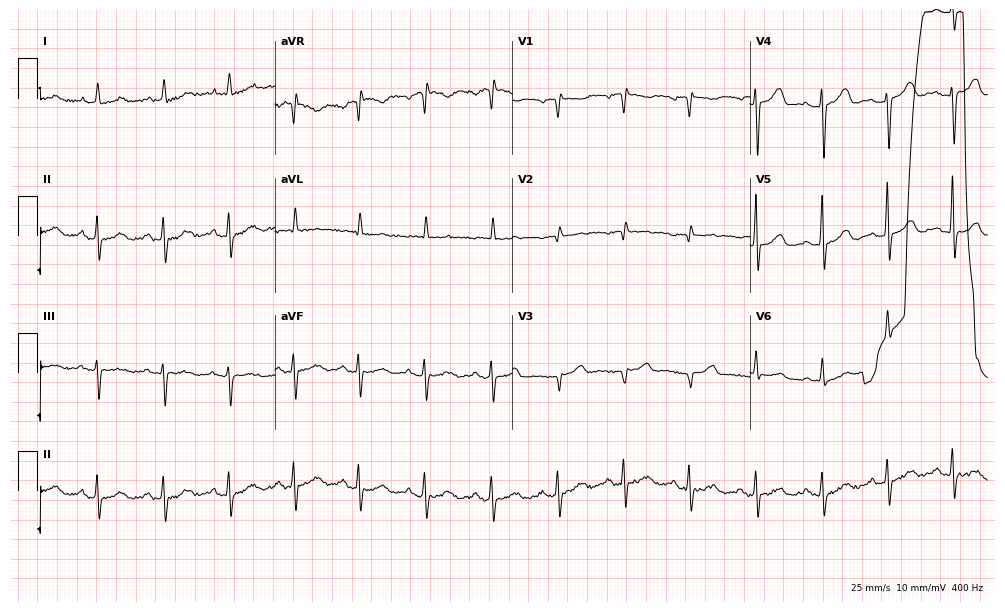
ECG (9.7-second recording at 400 Hz) — an 82-year-old female patient. Labelled as a normal ECG.